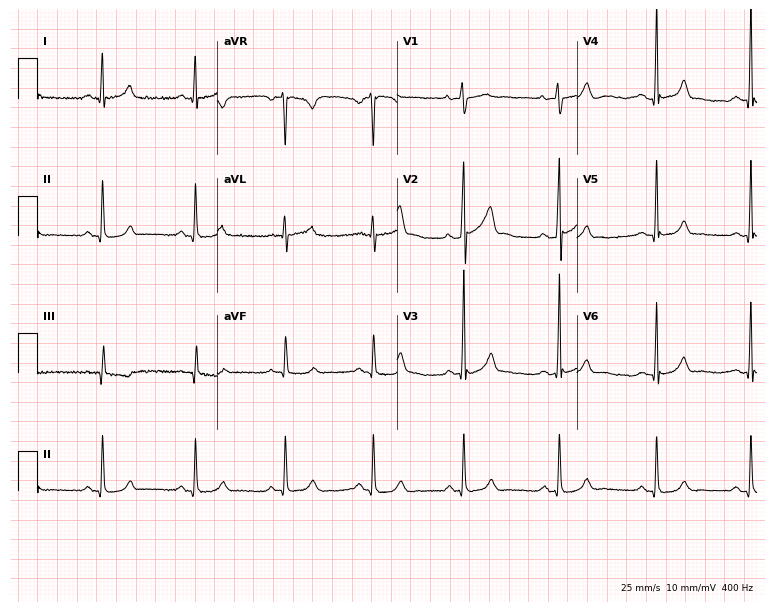
Standard 12-lead ECG recorded from a male patient, 26 years old (7.3-second recording at 400 Hz). Read as a normal ECG.